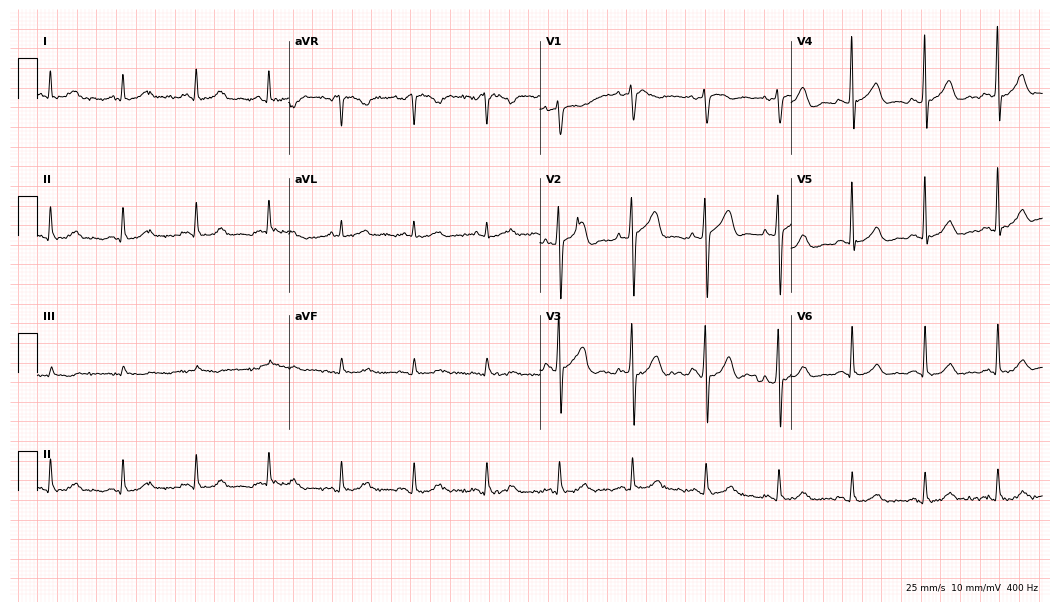
Standard 12-lead ECG recorded from a 55-year-old male (10.2-second recording at 400 Hz). None of these six findings is recorded: first-degree AV block, right bundle branch block, left bundle branch block, sinus bradycardia, atrial fibrillation, sinus tachycardia.